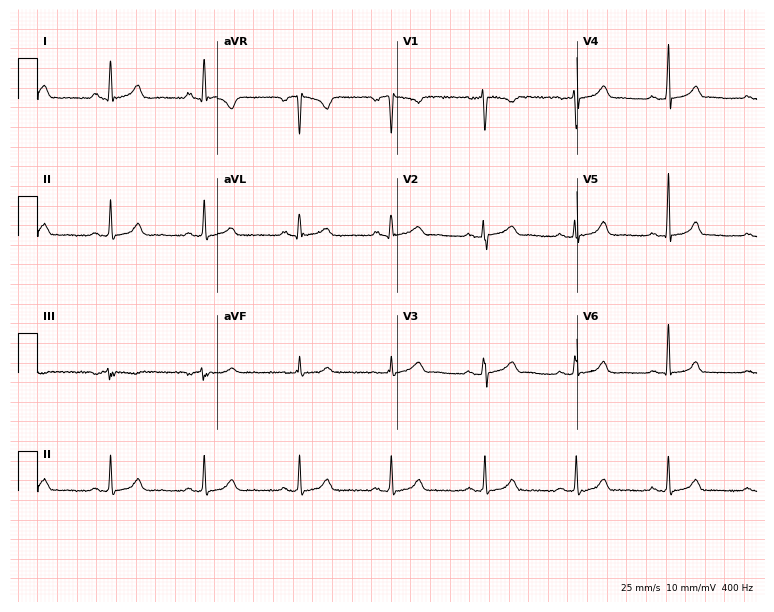
ECG (7.3-second recording at 400 Hz) — a female, 34 years old. Labelled as a normal ECG.